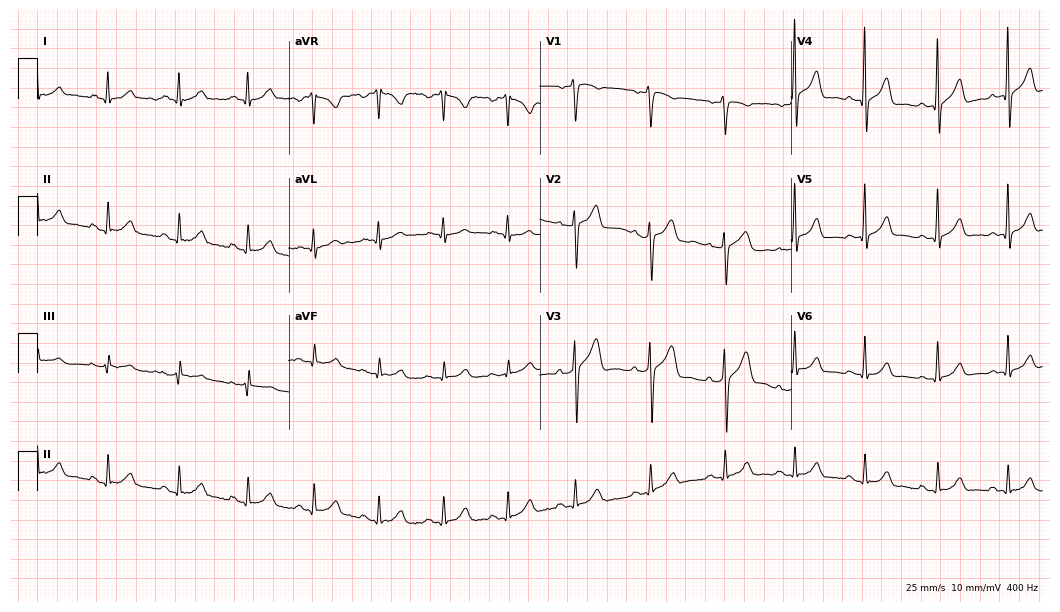
Standard 12-lead ECG recorded from a man, 46 years old. Read as a normal ECG.